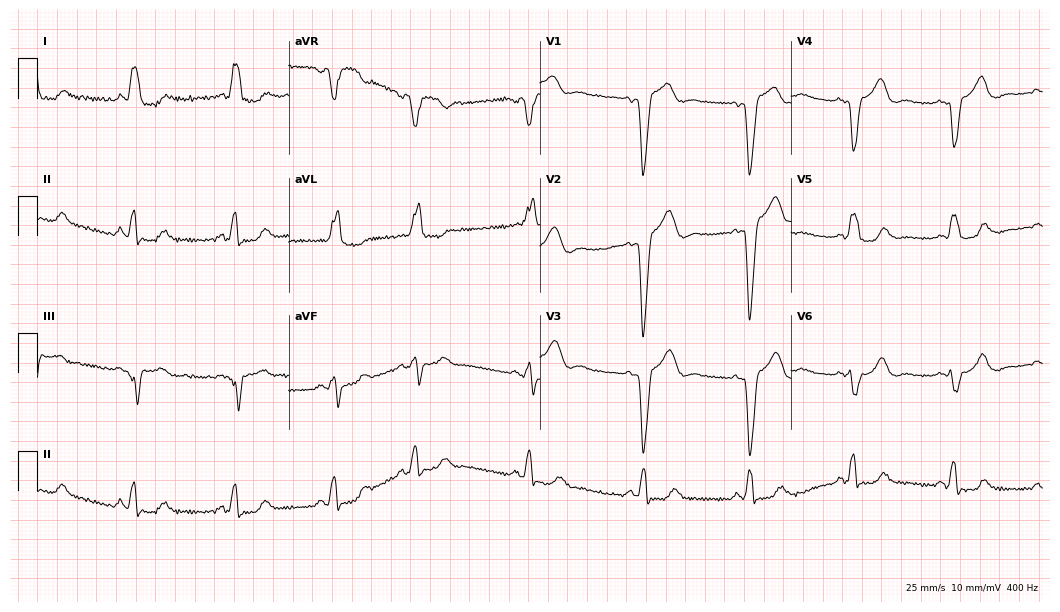
12-lead ECG from a 67-year-old woman (10.2-second recording at 400 Hz). Shows left bundle branch block.